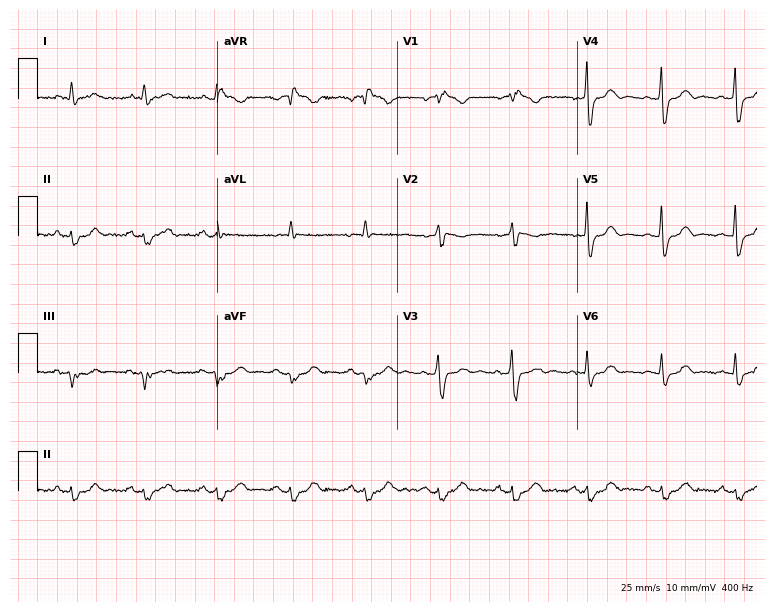
Electrocardiogram (7.3-second recording at 400 Hz), a 77-year-old male patient. Interpretation includes right bundle branch block.